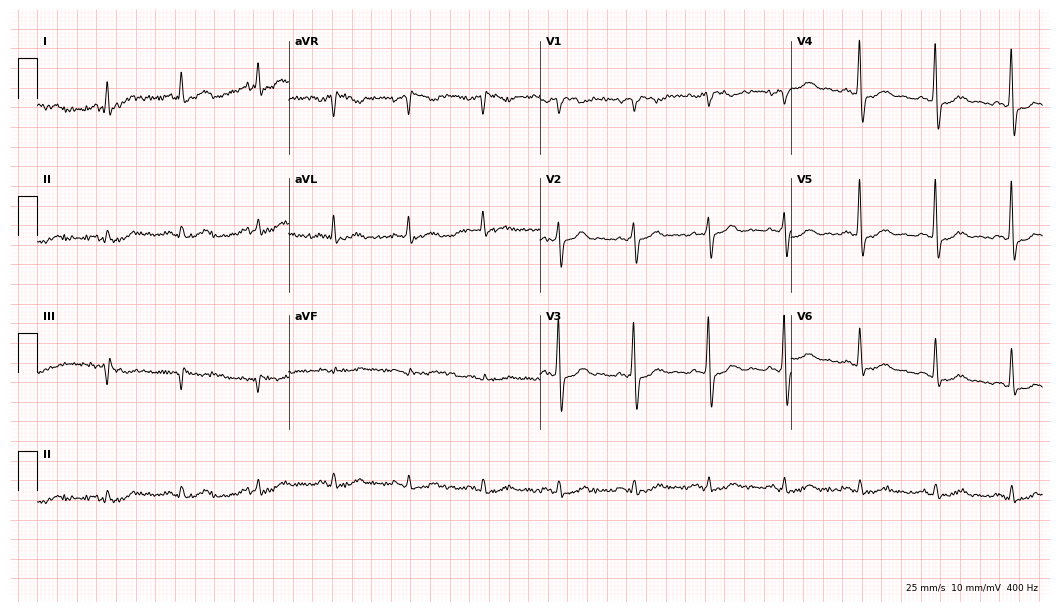
ECG (10.2-second recording at 400 Hz) — a male, 69 years old. Labelled as a normal ECG.